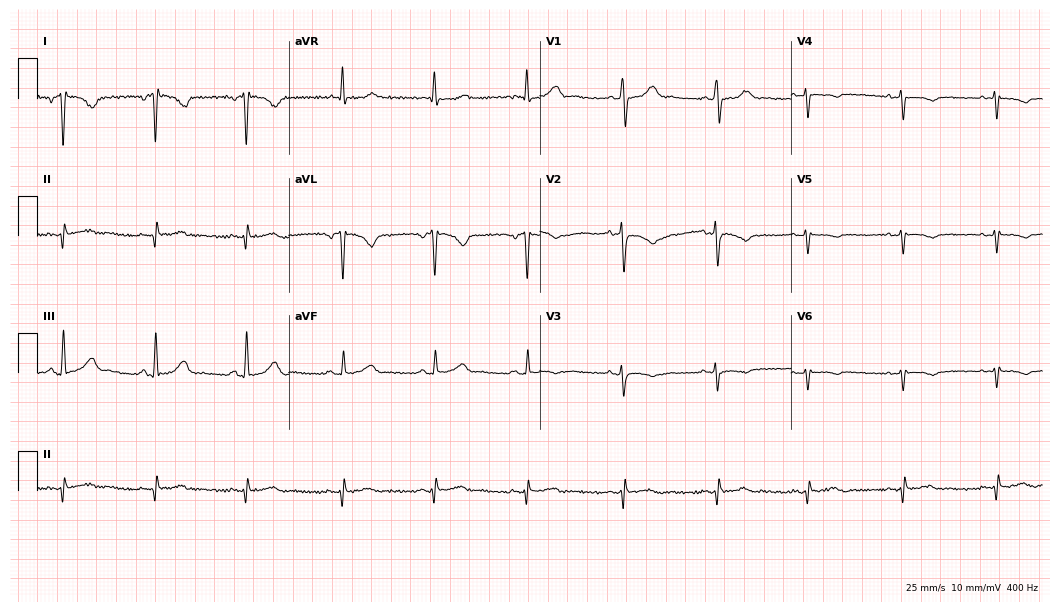
Resting 12-lead electrocardiogram (10.2-second recording at 400 Hz). Patient: a woman, 34 years old. None of these six findings is recorded: first-degree AV block, right bundle branch block, left bundle branch block, sinus bradycardia, atrial fibrillation, sinus tachycardia.